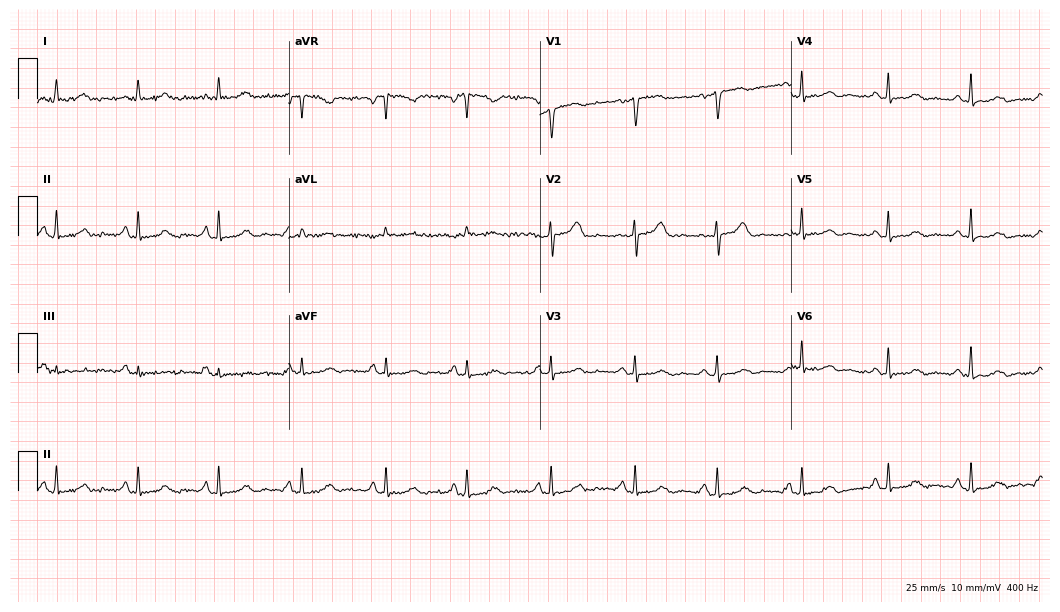
12-lead ECG from a female, 68 years old. Labelled as a normal ECG.